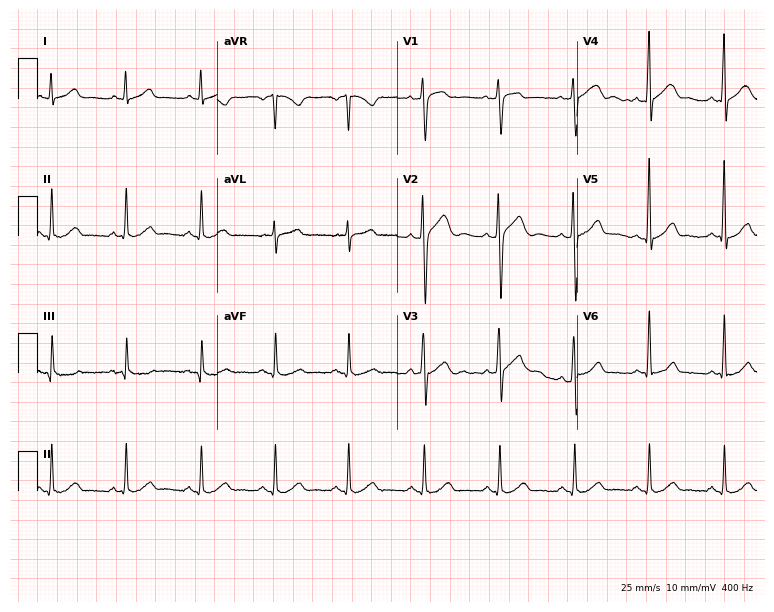
12-lead ECG from a male patient, 47 years old. Recorded interpretation: within normal limits.